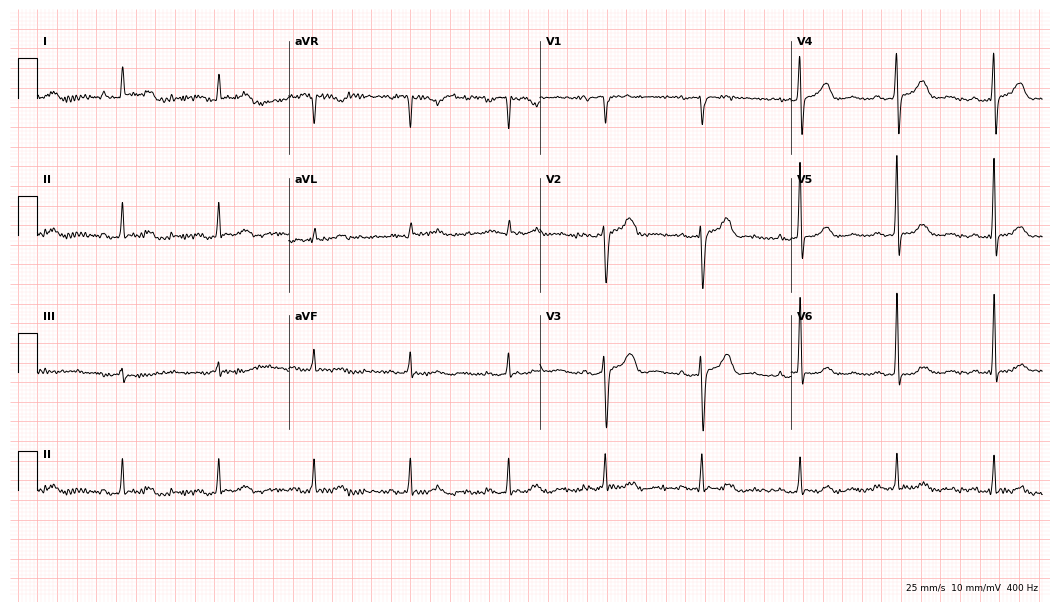
Electrocardiogram (10.2-second recording at 400 Hz), a 68-year-old male patient. Overall reading on record: normal ECG.